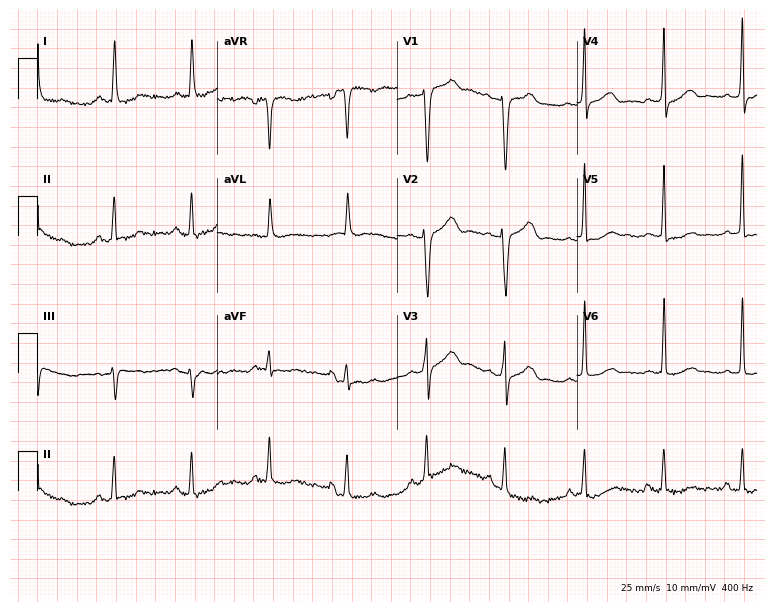
ECG — a 57-year-old female patient. Screened for six findings — first-degree AV block, right bundle branch block, left bundle branch block, sinus bradycardia, atrial fibrillation, sinus tachycardia — none is recorded. Only these six findings were labelled.